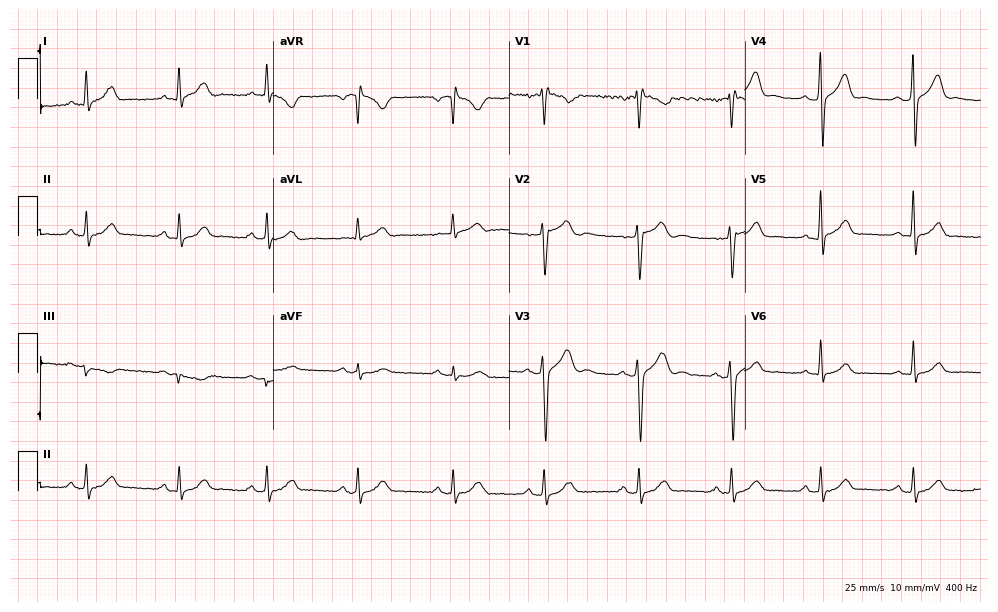
ECG (9.6-second recording at 400 Hz) — a 36-year-old male patient. Screened for six findings — first-degree AV block, right bundle branch block, left bundle branch block, sinus bradycardia, atrial fibrillation, sinus tachycardia — none is recorded.